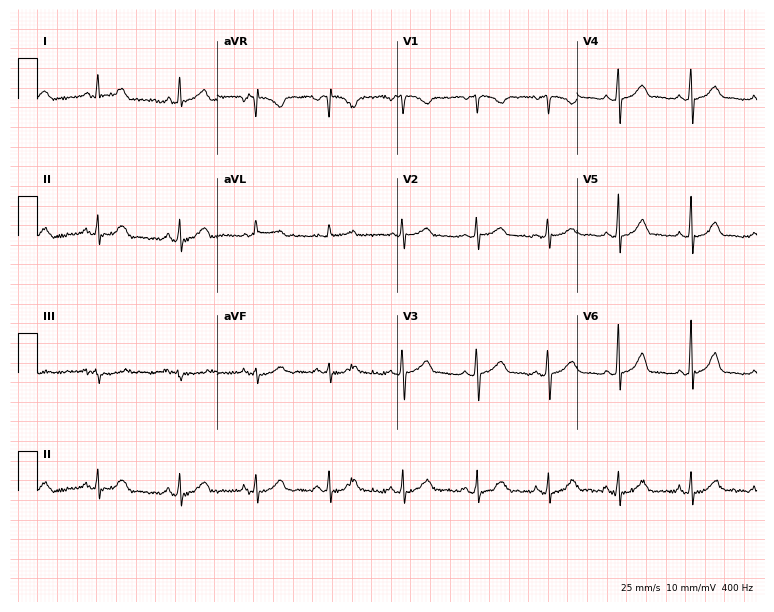
Standard 12-lead ECG recorded from a female patient, 37 years old (7.3-second recording at 400 Hz). Read as a normal ECG.